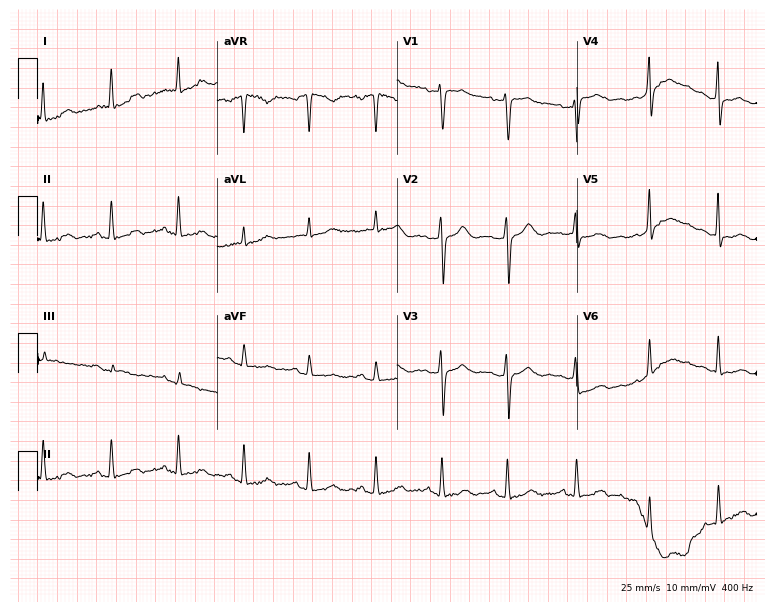
Resting 12-lead electrocardiogram (7.3-second recording at 400 Hz). Patient: a 45-year-old female. None of these six findings is recorded: first-degree AV block, right bundle branch block, left bundle branch block, sinus bradycardia, atrial fibrillation, sinus tachycardia. Other findings, if any, are not listed.